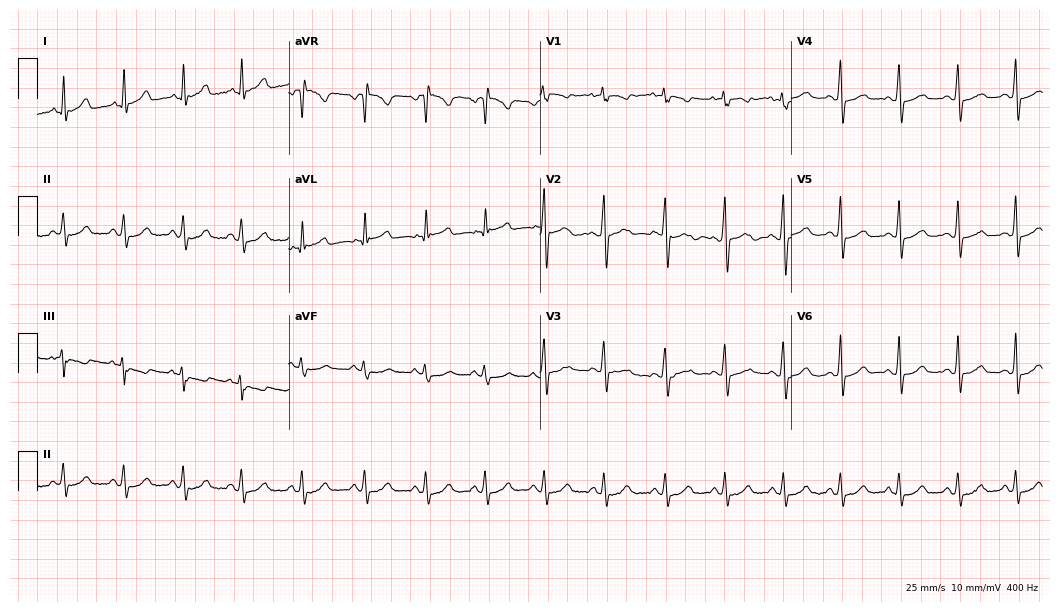
12-lead ECG from a woman, 27 years old. Labelled as a normal ECG.